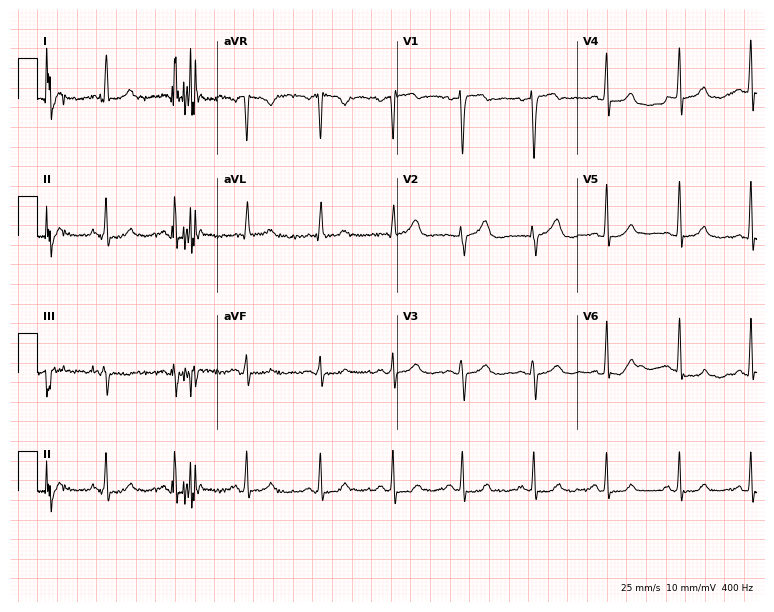
Resting 12-lead electrocardiogram. Patient: a female, 52 years old. Read as a normal ECG.